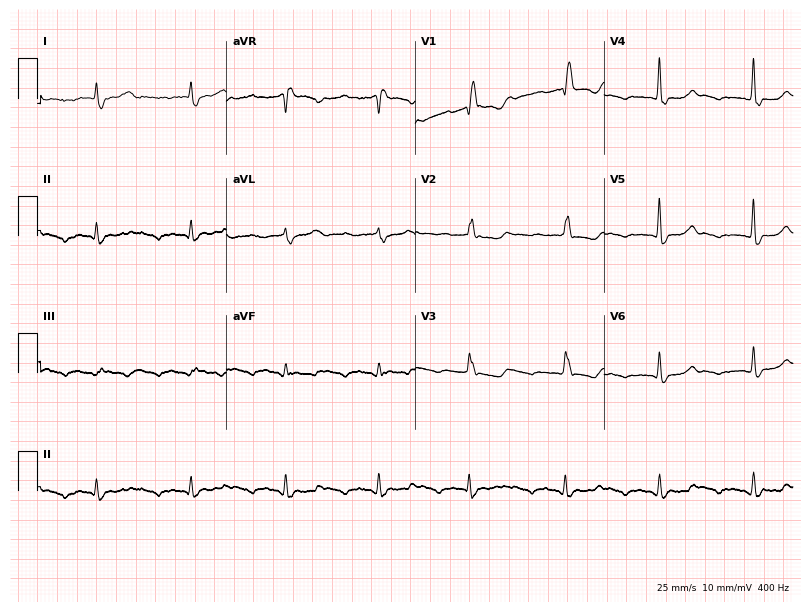
Resting 12-lead electrocardiogram (7.7-second recording at 400 Hz). Patient: an 81-year-old female. None of these six findings is recorded: first-degree AV block, right bundle branch block, left bundle branch block, sinus bradycardia, atrial fibrillation, sinus tachycardia. Findings outside these six are not listed.